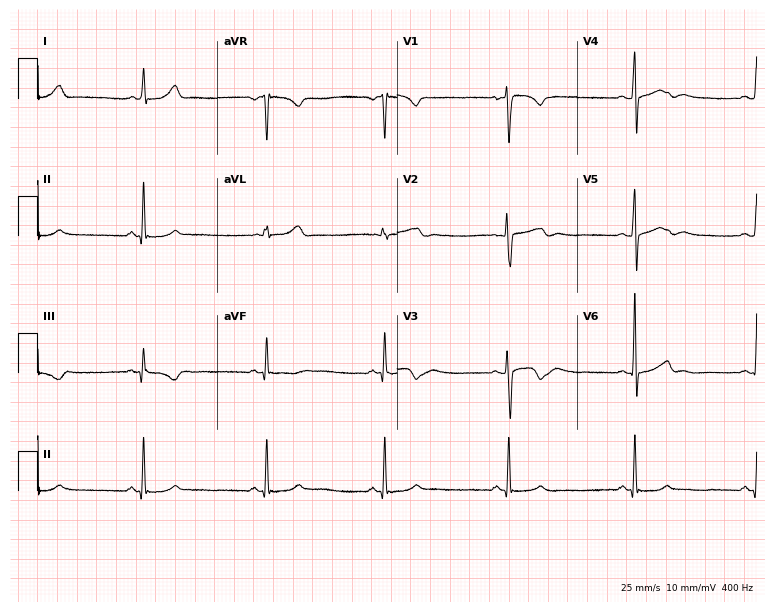
Electrocardiogram (7.3-second recording at 400 Hz), a 31-year-old female patient. Of the six screened findings (first-degree AV block, right bundle branch block (RBBB), left bundle branch block (LBBB), sinus bradycardia, atrial fibrillation (AF), sinus tachycardia), none is recorded.